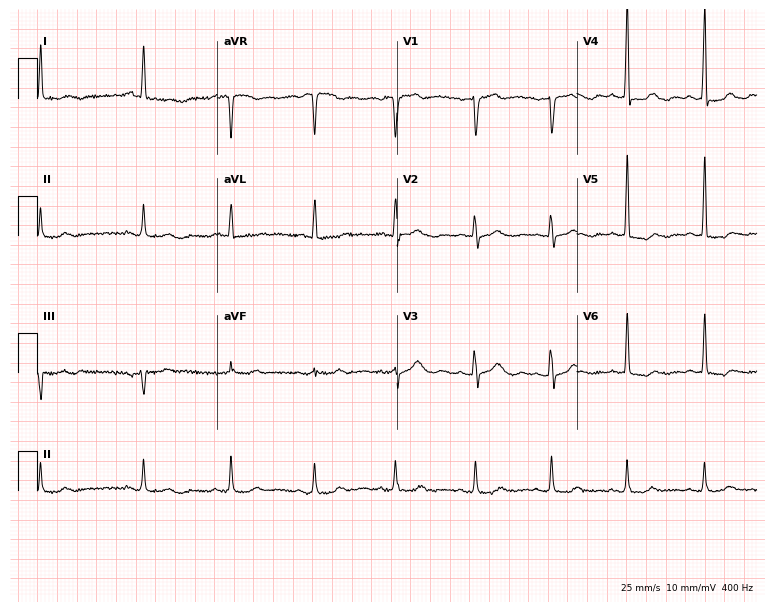
Resting 12-lead electrocardiogram (7.3-second recording at 400 Hz). Patient: a female, 84 years old. None of these six findings is recorded: first-degree AV block, right bundle branch block (RBBB), left bundle branch block (LBBB), sinus bradycardia, atrial fibrillation (AF), sinus tachycardia. Findings outside these six are not listed.